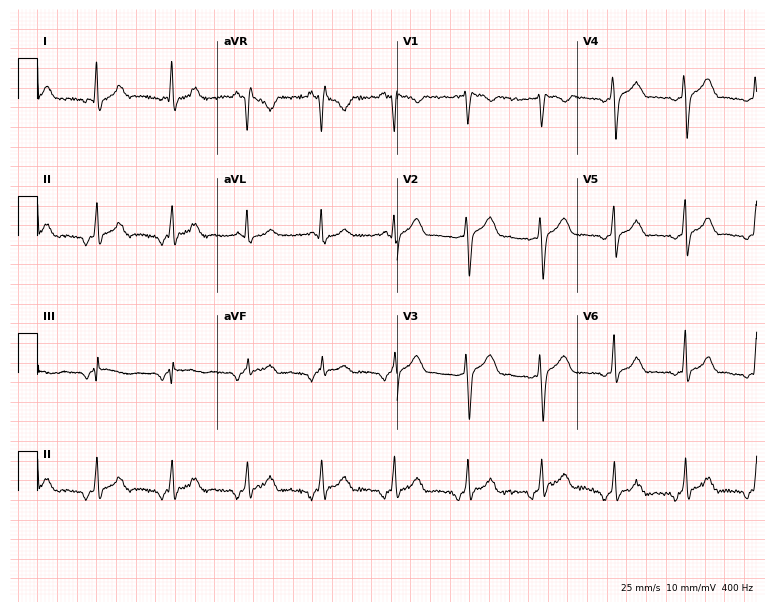
Standard 12-lead ECG recorded from a 31-year-old woman. None of these six findings is recorded: first-degree AV block, right bundle branch block (RBBB), left bundle branch block (LBBB), sinus bradycardia, atrial fibrillation (AF), sinus tachycardia. Only these six findings were labelled.